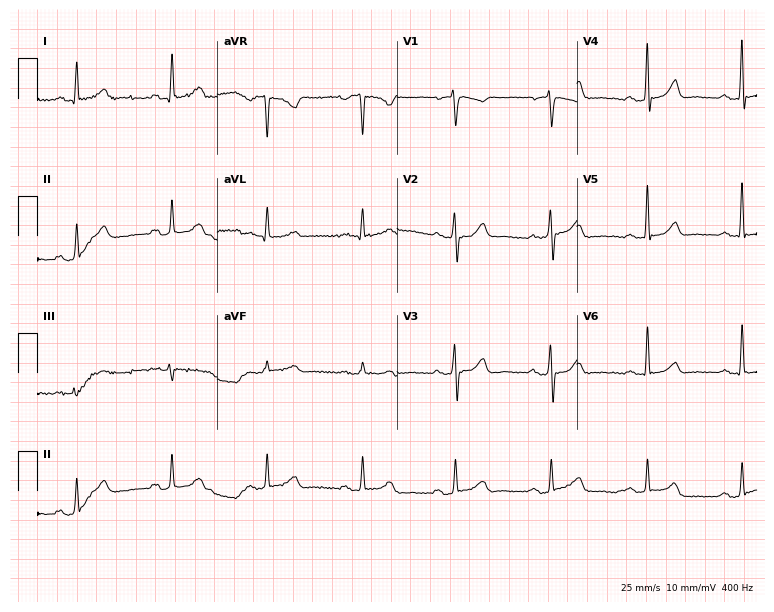
12-lead ECG from a female patient, 41 years old. No first-degree AV block, right bundle branch block (RBBB), left bundle branch block (LBBB), sinus bradycardia, atrial fibrillation (AF) or sinus tachycardia recorded for this tracing. Findings outside these six are not listed.